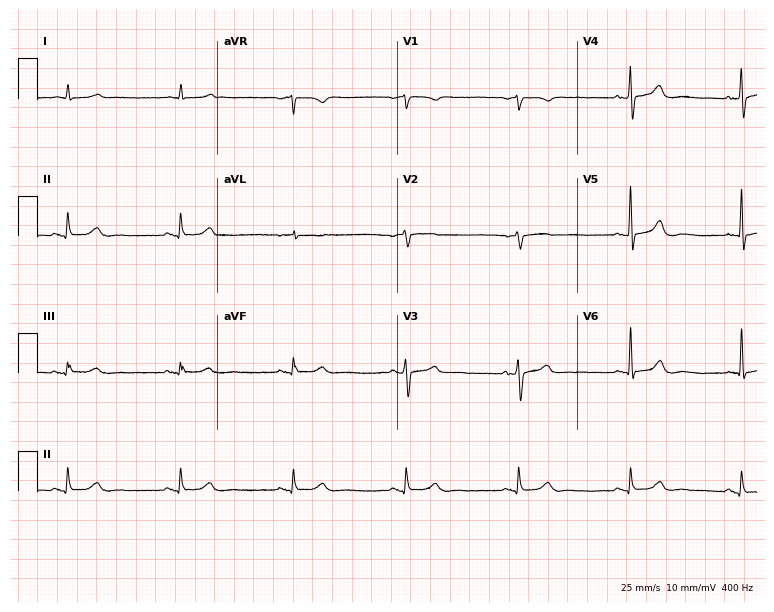
12-lead ECG from a male patient, 80 years old (7.3-second recording at 400 Hz). No first-degree AV block, right bundle branch block (RBBB), left bundle branch block (LBBB), sinus bradycardia, atrial fibrillation (AF) or sinus tachycardia recorded for this tracing. Findings outside these six are not listed.